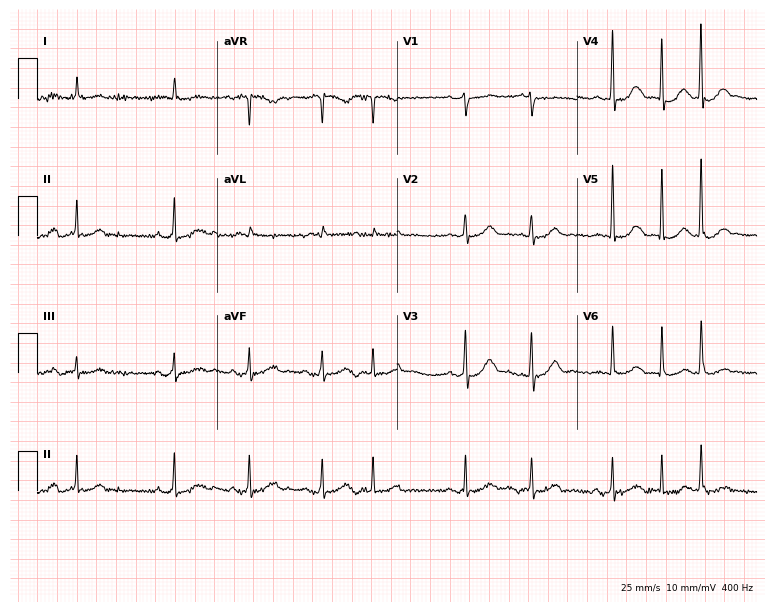
12-lead ECG from a male patient, 80 years old (7.3-second recording at 400 Hz). No first-degree AV block, right bundle branch block, left bundle branch block, sinus bradycardia, atrial fibrillation or sinus tachycardia recorded for this tracing.